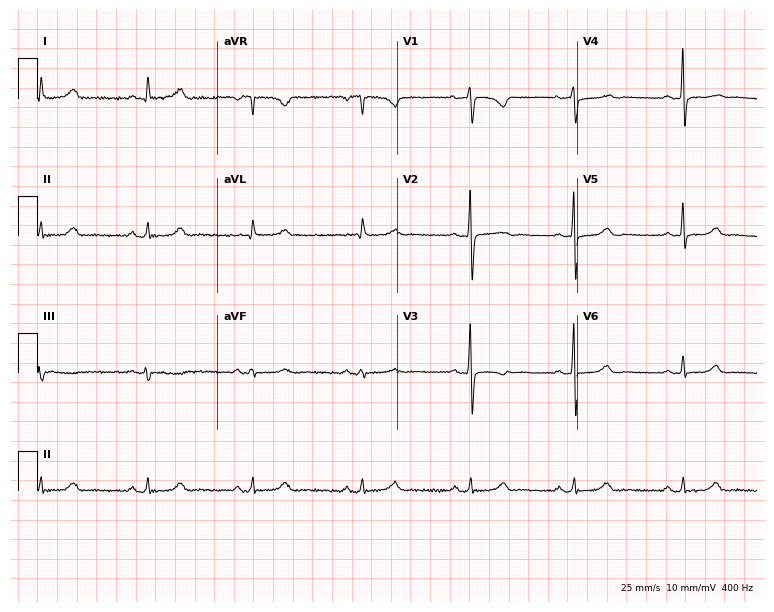
ECG (7.3-second recording at 400 Hz) — a 65-year-old woman. Labelled as a normal ECG.